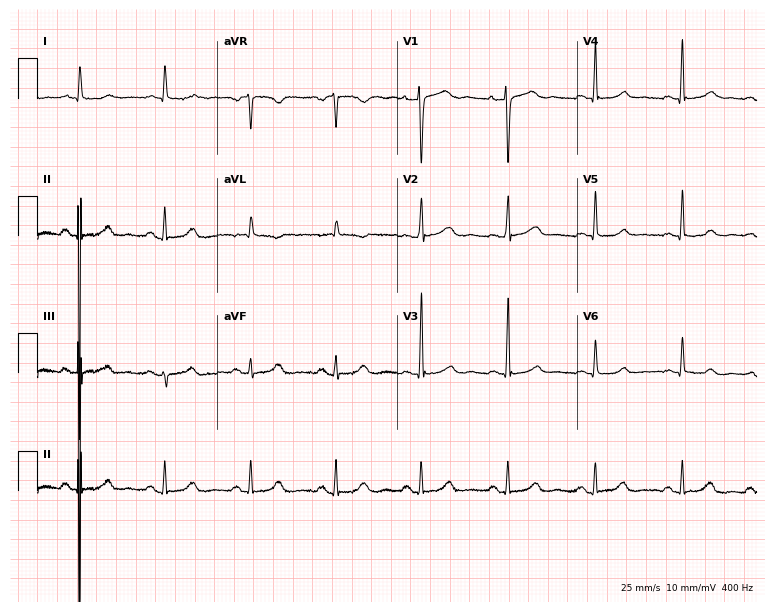
12-lead ECG from a 42-year-old female. Labelled as a normal ECG.